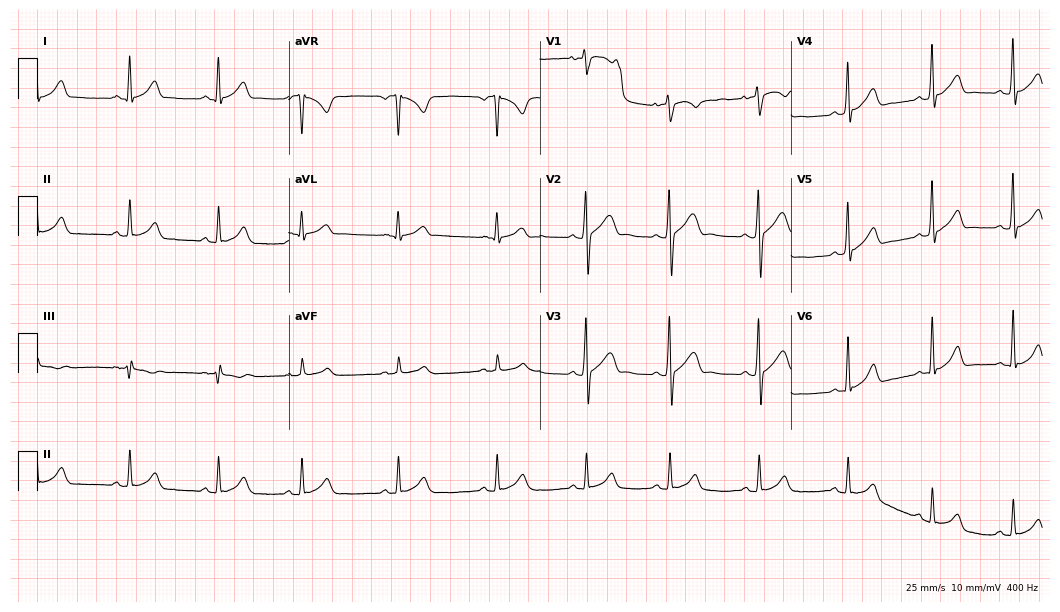
Resting 12-lead electrocardiogram. Patient: a male, 19 years old. Read as a normal ECG.